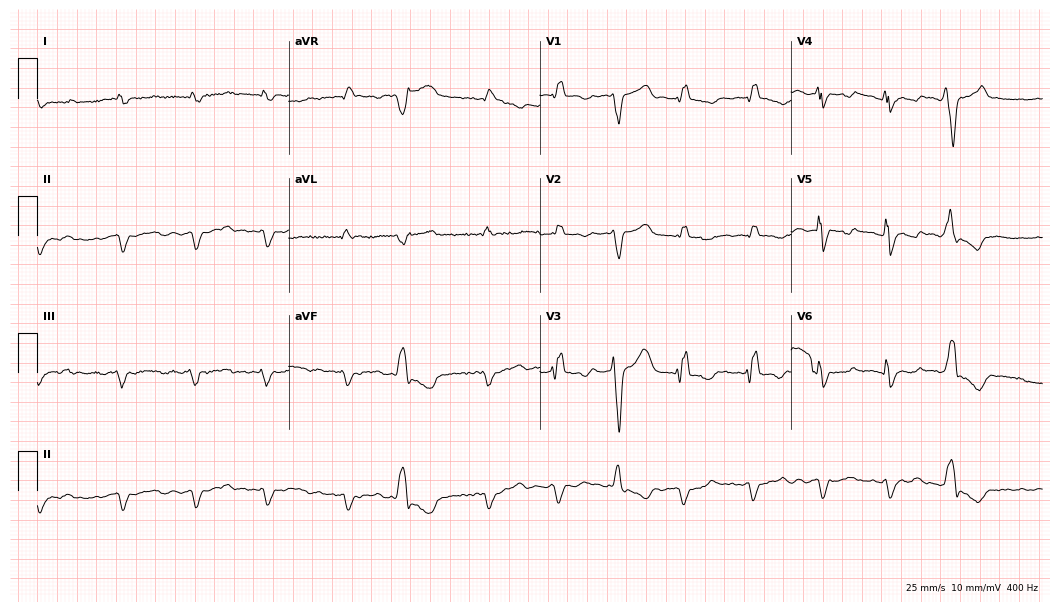
12-lead ECG (10.2-second recording at 400 Hz) from an 82-year-old male. Screened for six findings — first-degree AV block, right bundle branch block, left bundle branch block, sinus bradycardia, atrial fibrillation, sinus tachycardia — none is recorded. Other findings, if any, are not listed.